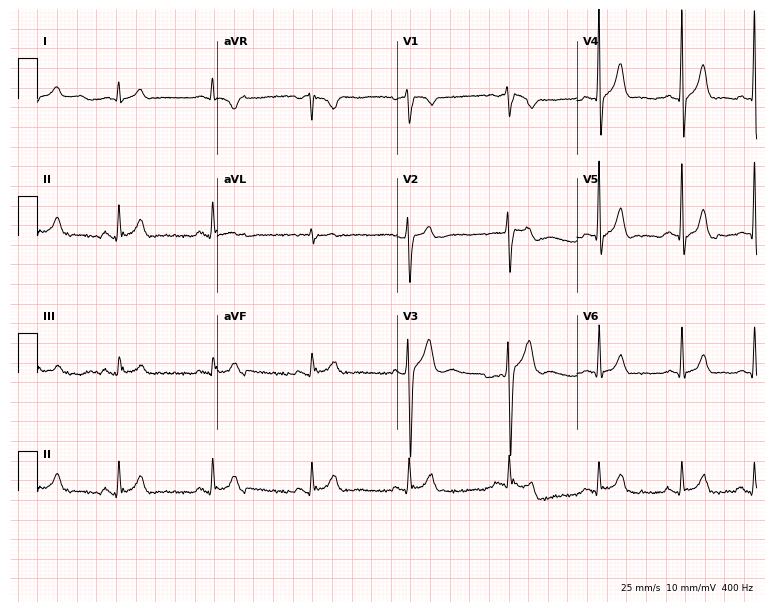
Standard 12-lead ECG recorded from a 21-year-old male (7.3-second recording at 400 Hz). Read as a normal ECG.